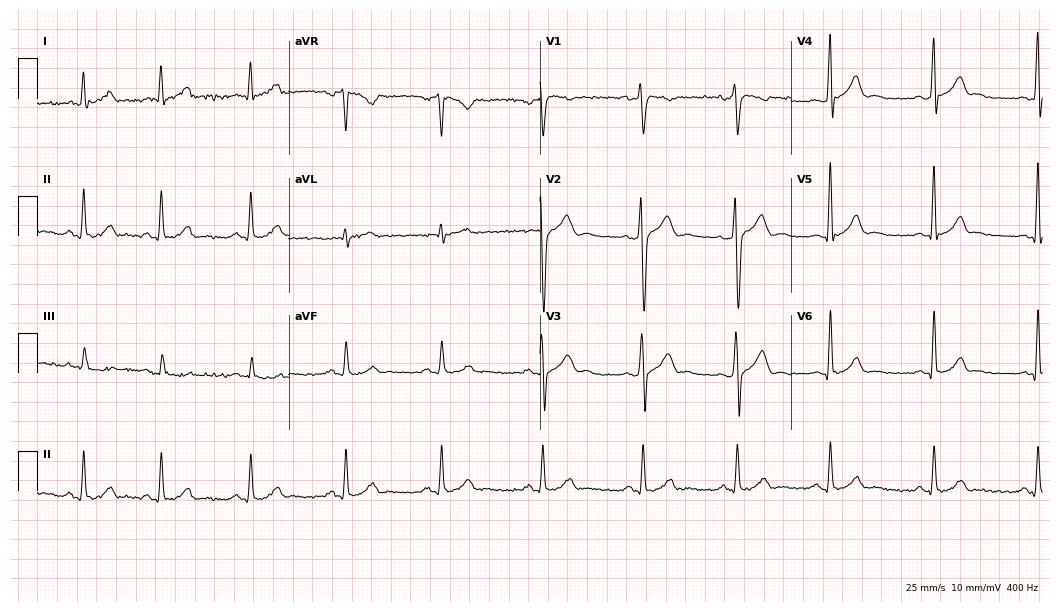
Electrocardiogram (10.2-second recording at 400 Hz), a male, 27 years old. Overall reading on record: normal ECG.